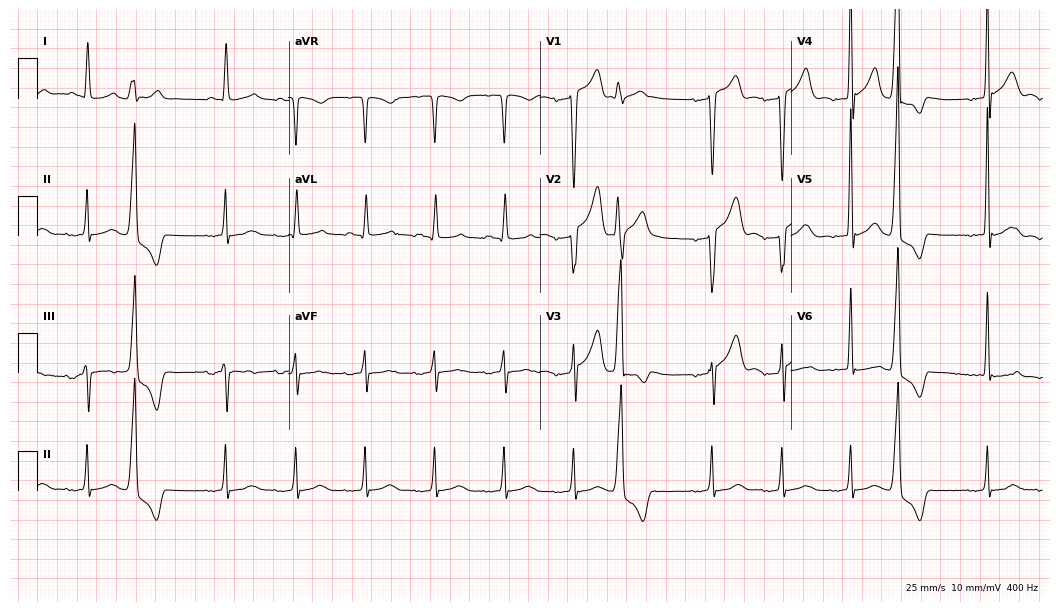
ECG (10.2-second recording at 400 Hz) — a man, 73 years old. Screened for six findings — first-degree AV block, right bundle branch block (RBBB), left bundle branch block (LBBB), sinus bradycardia, atrial fibrillation (AF), sinus tachycardia — none is recorded.